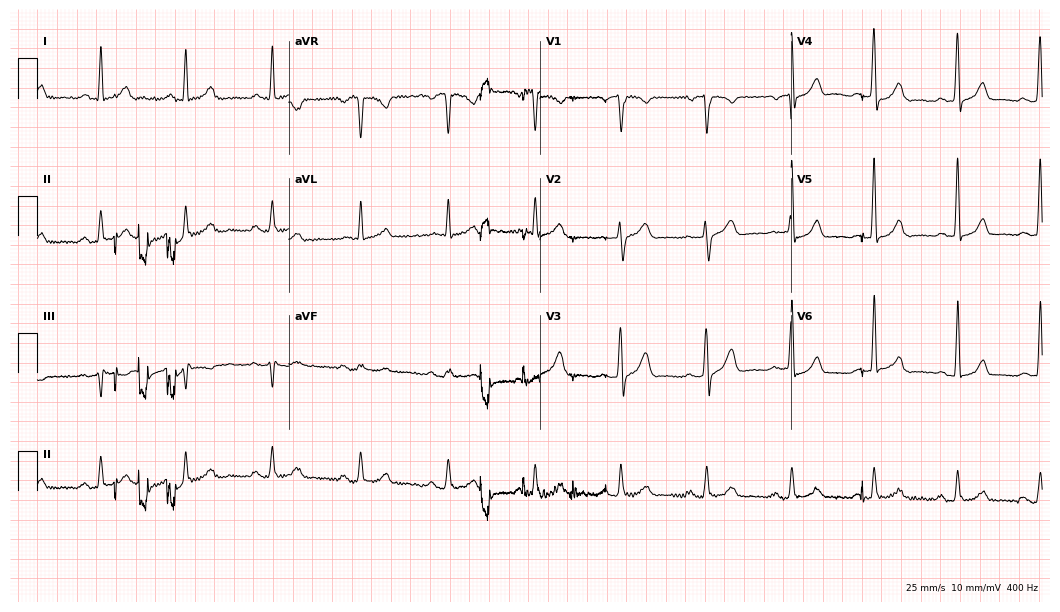
12-lead ECG from a 43-year-old male. No first-degree AV block, right bundle branch block (RBBB), left bundle branch block (LBBB), sinus bradycardia, atrial fibrillation (AF) or sinus tachycardia recorded for this tracing. Findings outside these six are not listed.